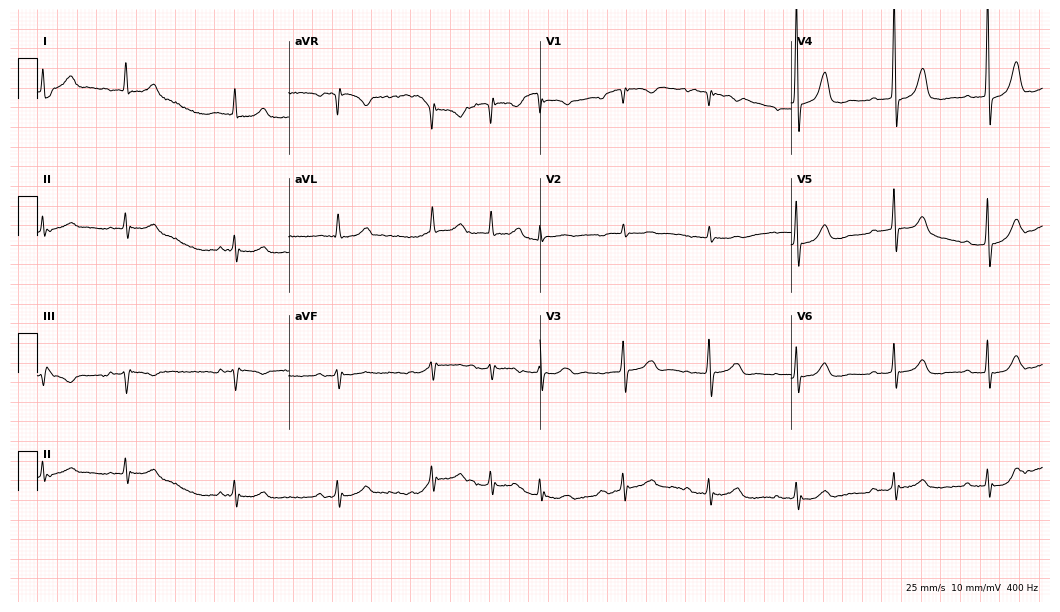
ECG (10.2-second recording at 400 Hz) — an 85-year-old female. Screened for six findings — first-degree AV block, right bundle branch block (RBBB), left bundle branch block (LBBB), sinus bradycardia, atrial fibrillation (AF), sinus tachycardia — none is recorded.